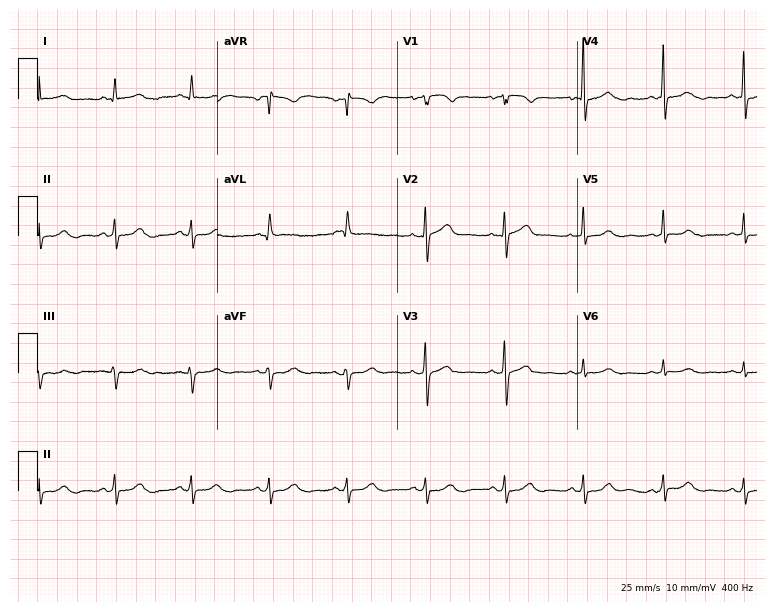
12-lead ECG (7.3-second recording at 400 Hz) from a woman, 64 years old. Screened for six findings — first-degree AV block, right bundle branch block, left bundle branch block, sinus bradycardia, atrial fibrillation, sinus tachycardia — none is recorded.